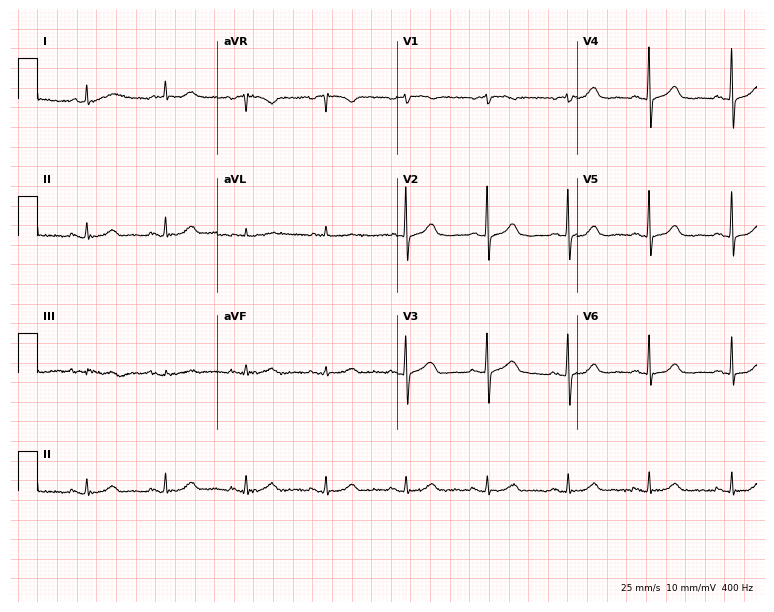
Electrocardiogram, an 80-year-old female patient. Overall reading on record: normal ECG.